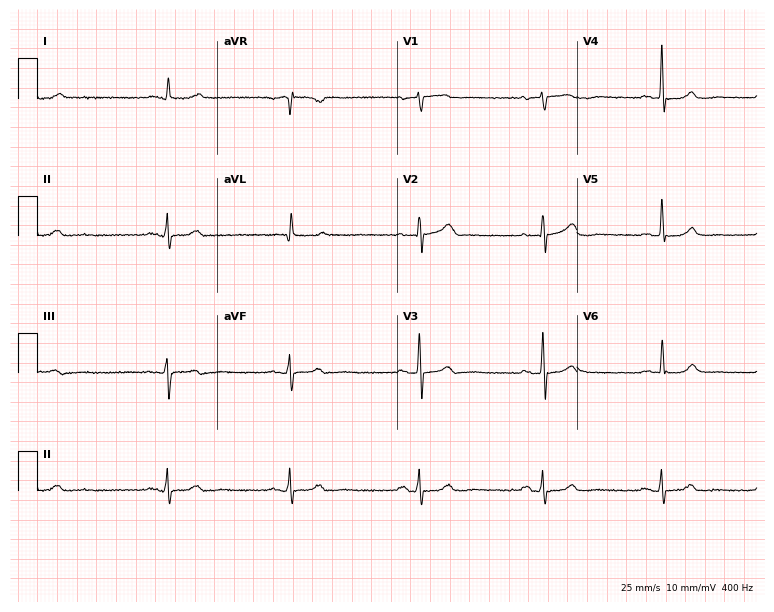
Standard 12-lead ECG recorded from a woman, 73 years old (7.3-second recording at 400 Hz). Read as a normal ECG.